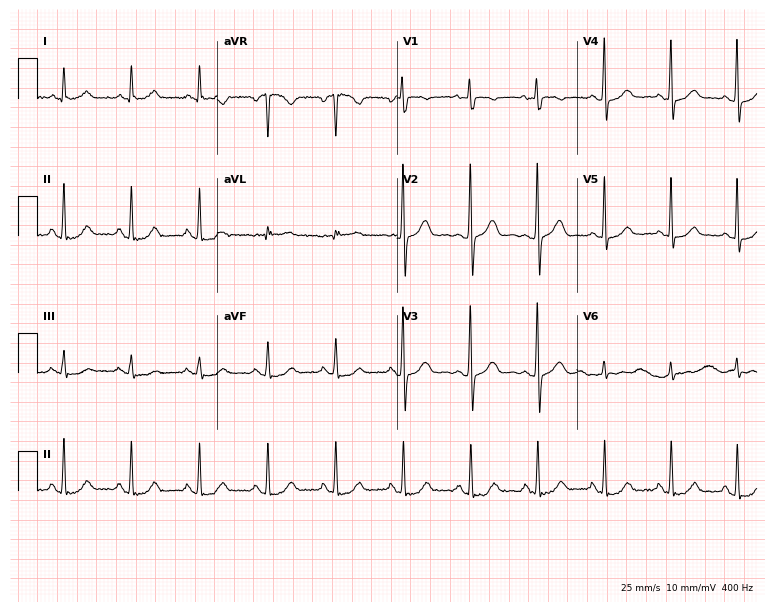
12-lead ECG (7.3-second recording at 400 Hz) from a female, 59 years old. Screened for six findings — first-degree AV block, right bundle branch block, left bundle branch block, sinus bradycardia, atrial fibrillation, sinus tachycardia — none is recorded.